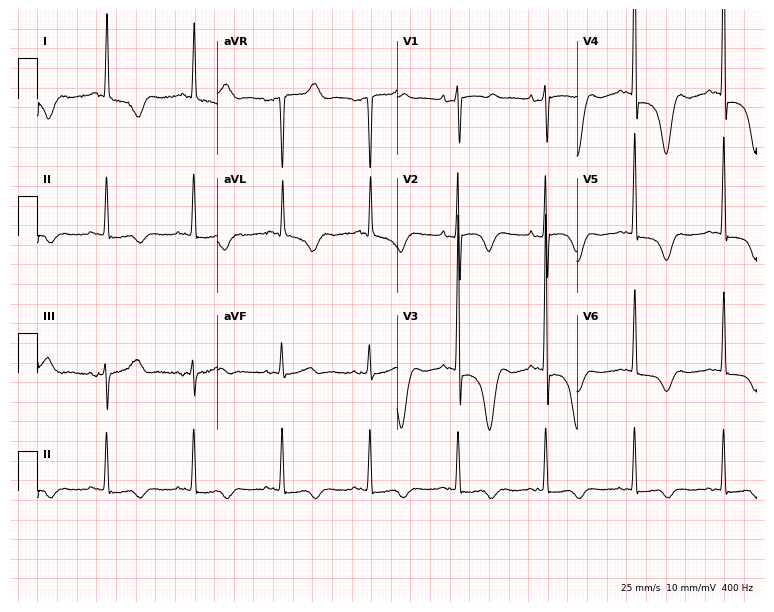
ECG (7.3-second recording at 400 Hz) — a 69-year-old female. Screened for six findings — first-degree AV block, right bundle branch block, left bundle branch block, sinus bradycardia, atrial fibrillation, sinus tachycardia — none is recorded. Only these six findings were labelled.